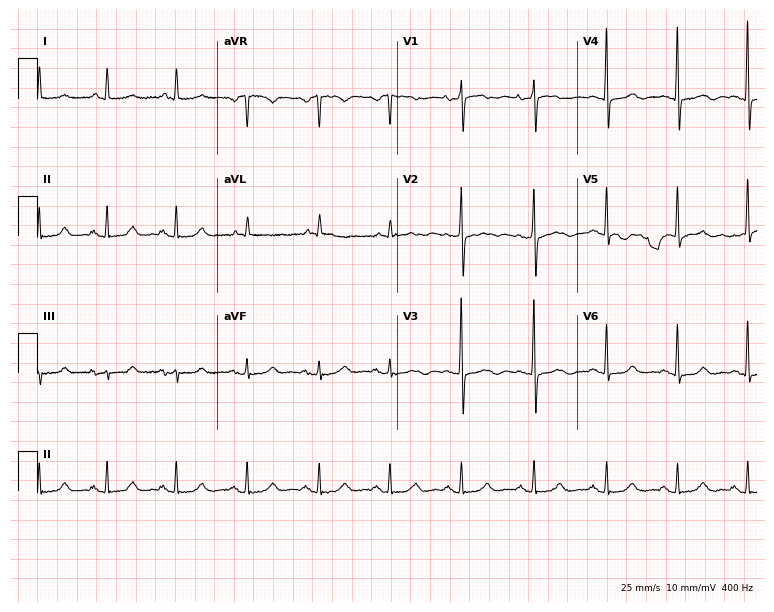
ECG (7.3-second recording at 400 Hz) — a 78-year-old woman. Labelled as a normal ECG.